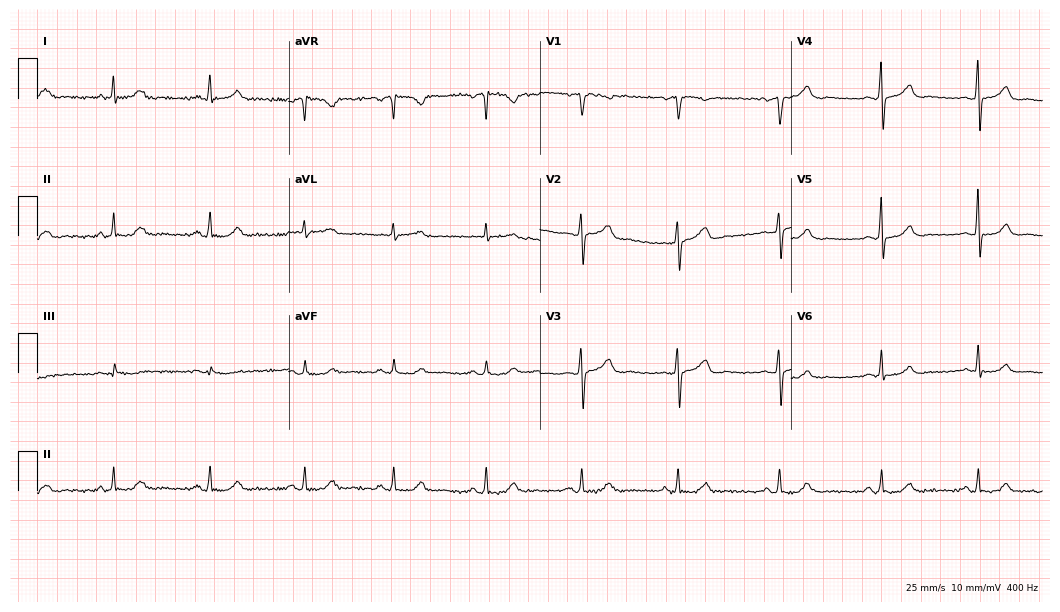
Electrocardiogram, a female patient, 45 years old. Overall reading on record: normal ECG.